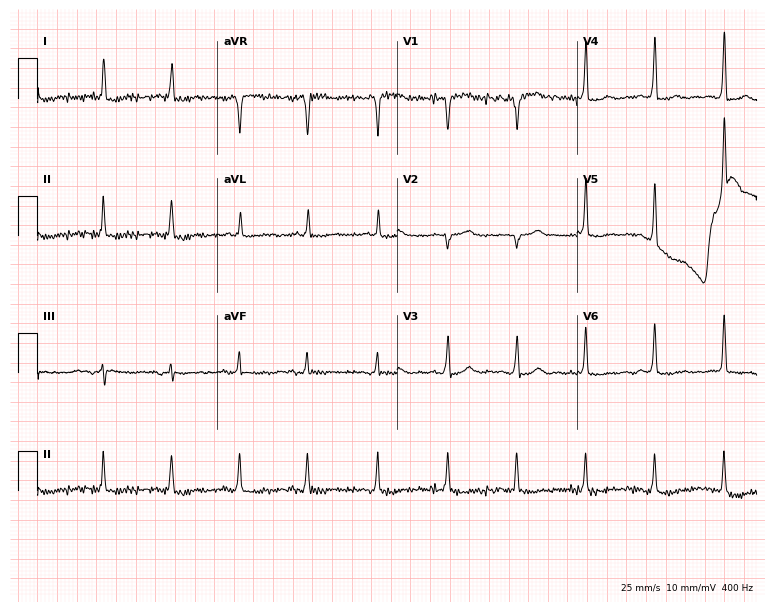
ECG (7.3-second recording at 400 Hz) — a 79-year-old female patient. Screened for six findings — first-degree AV block, right bundle branch block (RBBB), left bundle branch block (LBBB), sinus bradycardia, atrial fibrillation (AF), sinus tachycardia — none is recorded. Only these six findings were labelled.